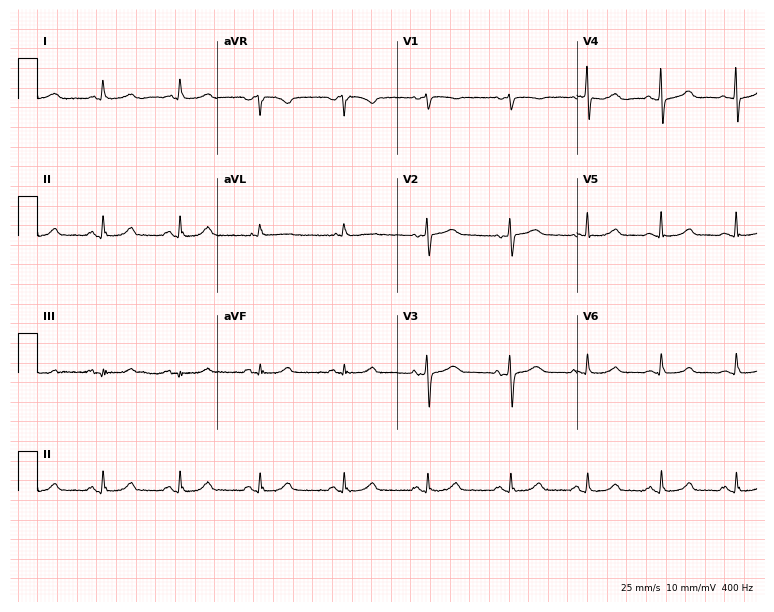
Electrocardiogram (7.3-second recording at 400 Hz), a 55-year-old female. Overall reading on record: normal ECG.